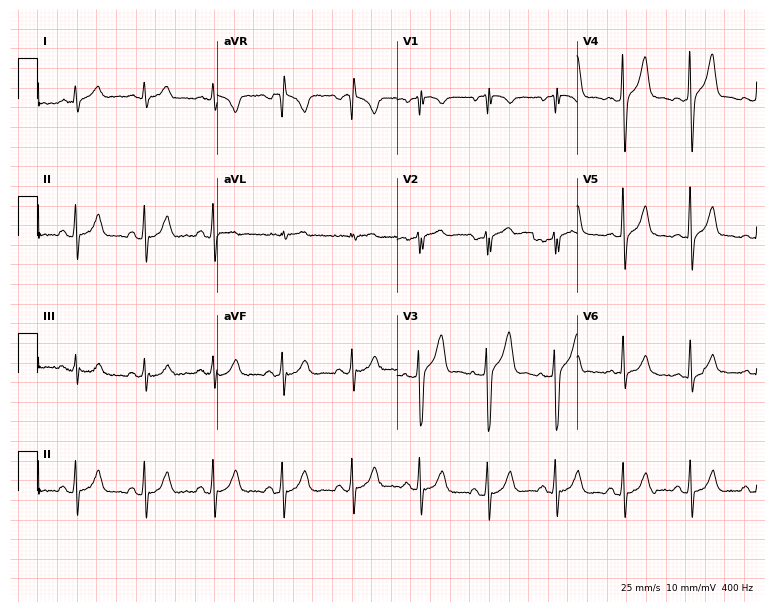
ECG — a 31-year-old man. Screened for six findings — first-degree AV block, right bundle branch block (RBBB), left bundle branch block (LBBB), sinus bradycardia, atrial fibrillation (AF), sinus tachycardia — none is recorded. Other findings, if any, are not listed.